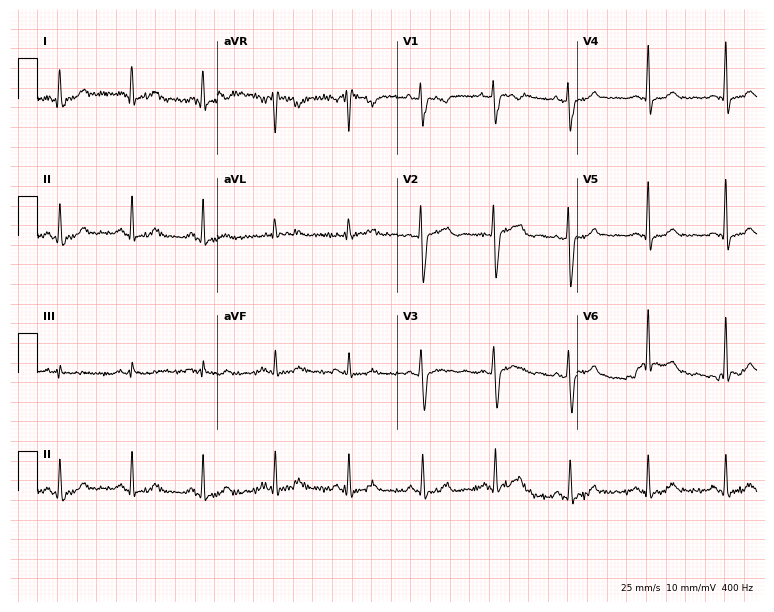
Electrocardiogram (7.3-second recording at 400 Hz), a female patient, 38 years old. Overall reading on record: normal ECG.